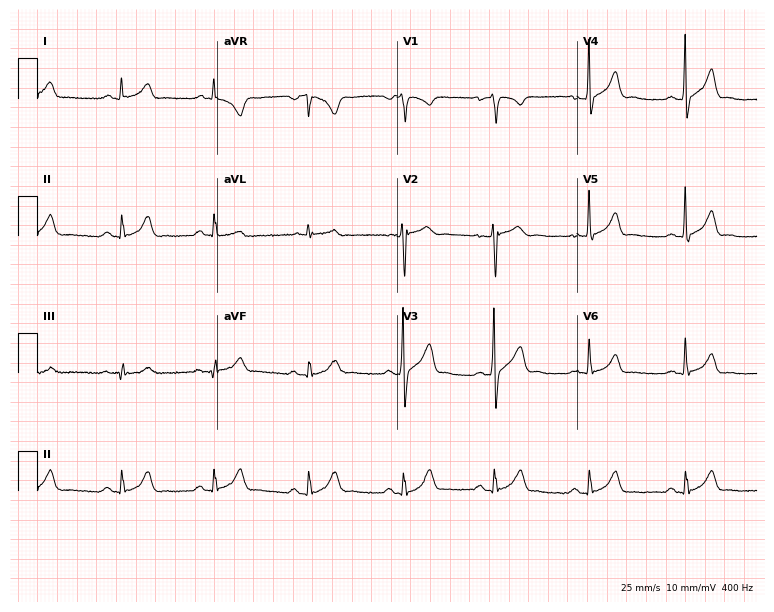
ECG — a man, 25 years old. Labelled as a normal ECG.